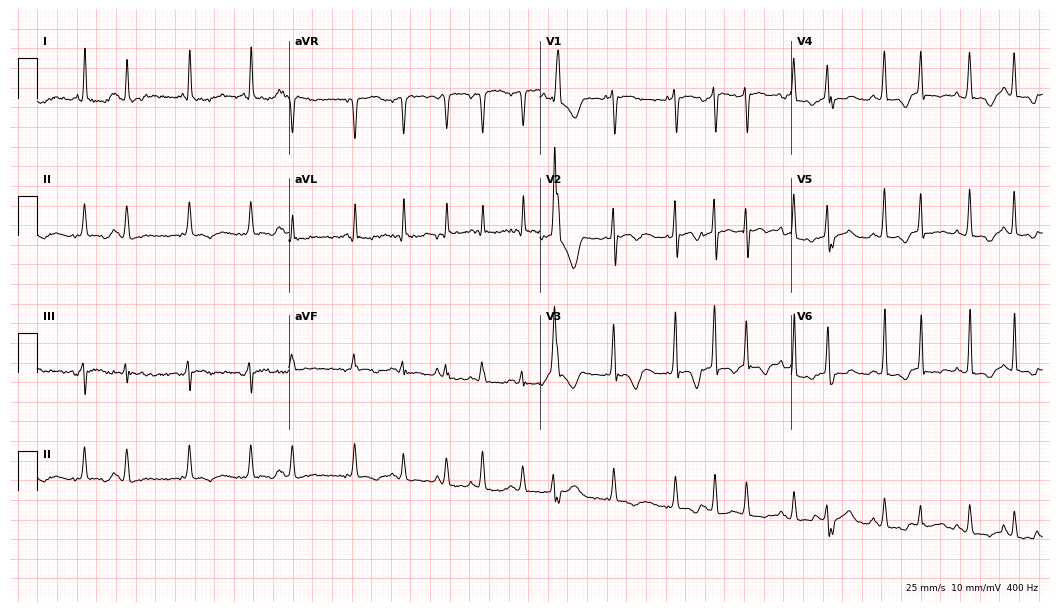
Electrocardiogram (10.2-second recording at 400 Hz), a 77-year-old male patient. Of the six screened findings (first-degree AV block, right bundle branch block (RBBB), left bundle branch block (LBBB), sinus bradycardia, atrial fibrillation (AF), sinus tachycardia), none is recorded.